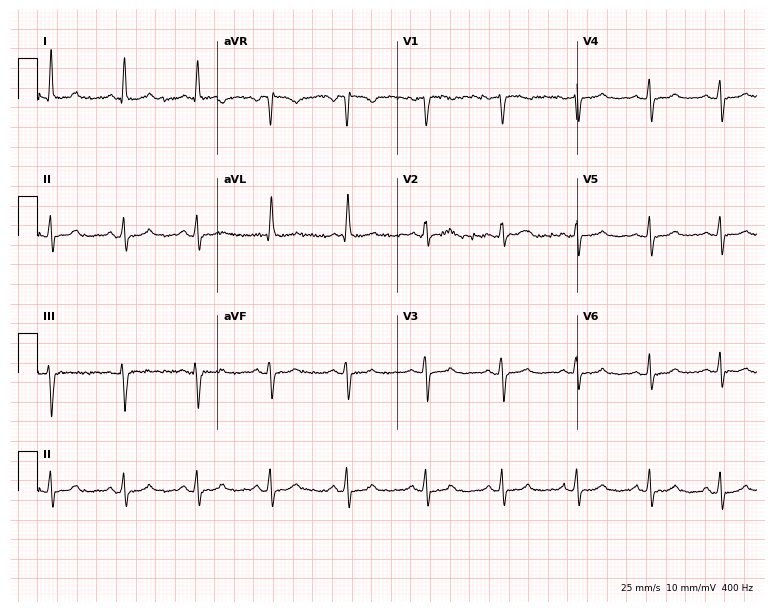
ECG (7.3-second recording at 400 Hz) — a 44-year-old woman. Labelled as a normal ECG.